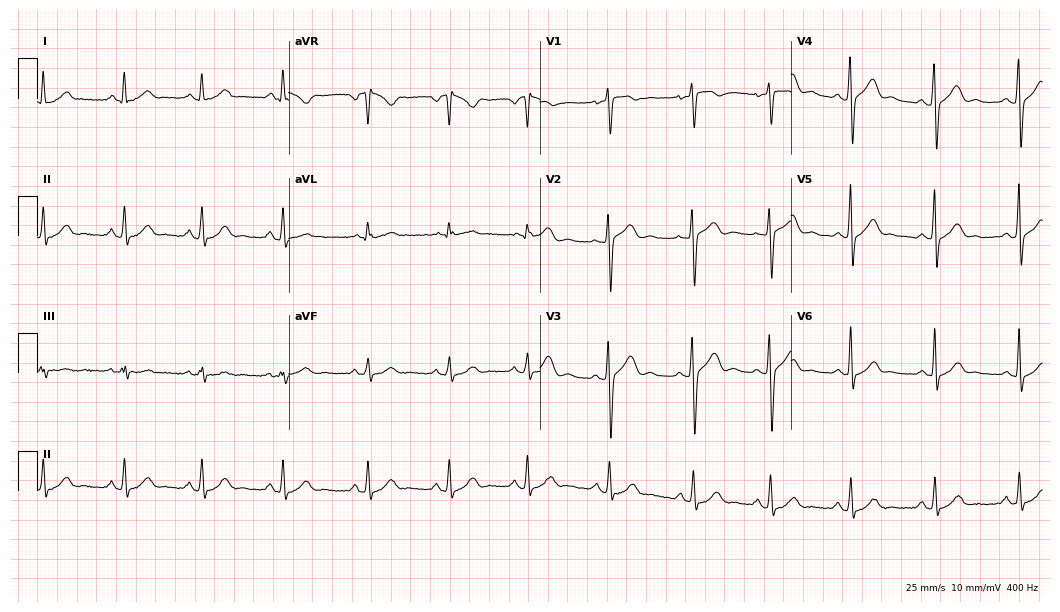
12-lead ECG (10.2-second recording at 400 Hz) from a 22-year-old woman. Labelled as a normal ECG.